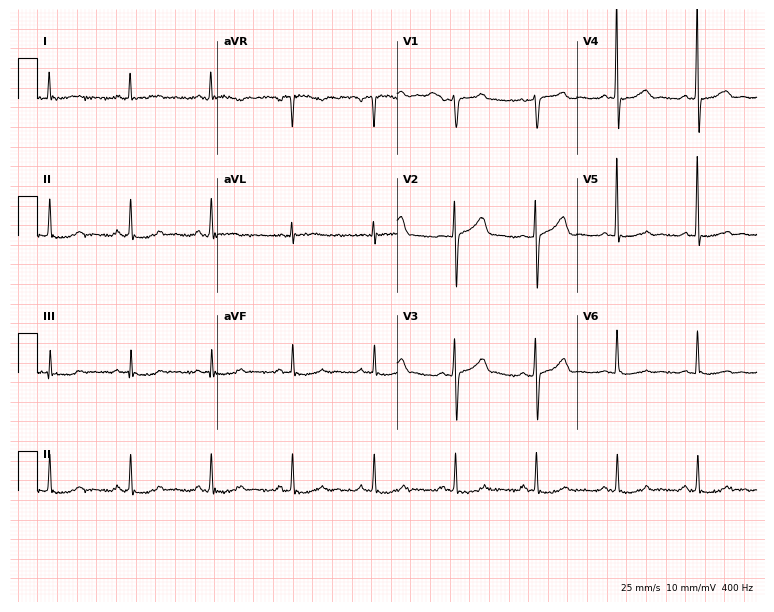
12-lead ECG from a 68-year-old male patient. Labelled as a normal ECG.